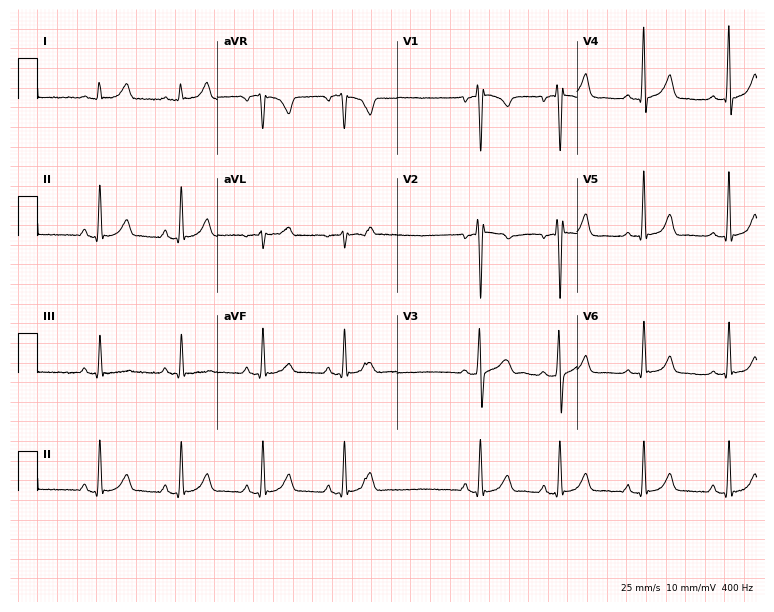
Electrocardiogram (7.3-second recording at 400 Hz), a man, 33 years old. Overall reading on record: normal ECG.